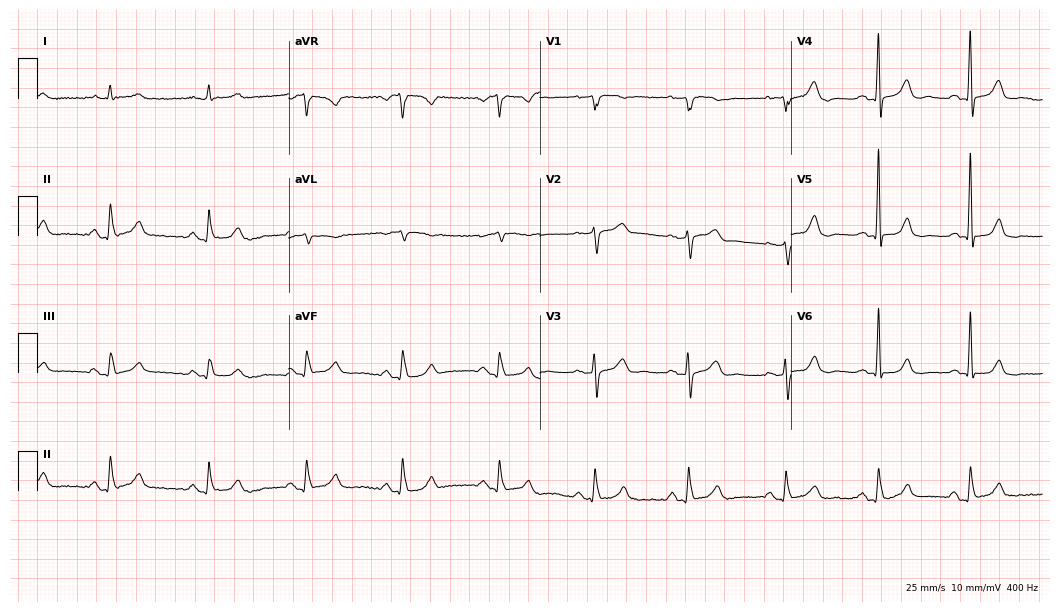
12-lead ECG from an 85-year-old man (10.2-second recording at 400 Hz). Recorded interpretation: within normal limits.